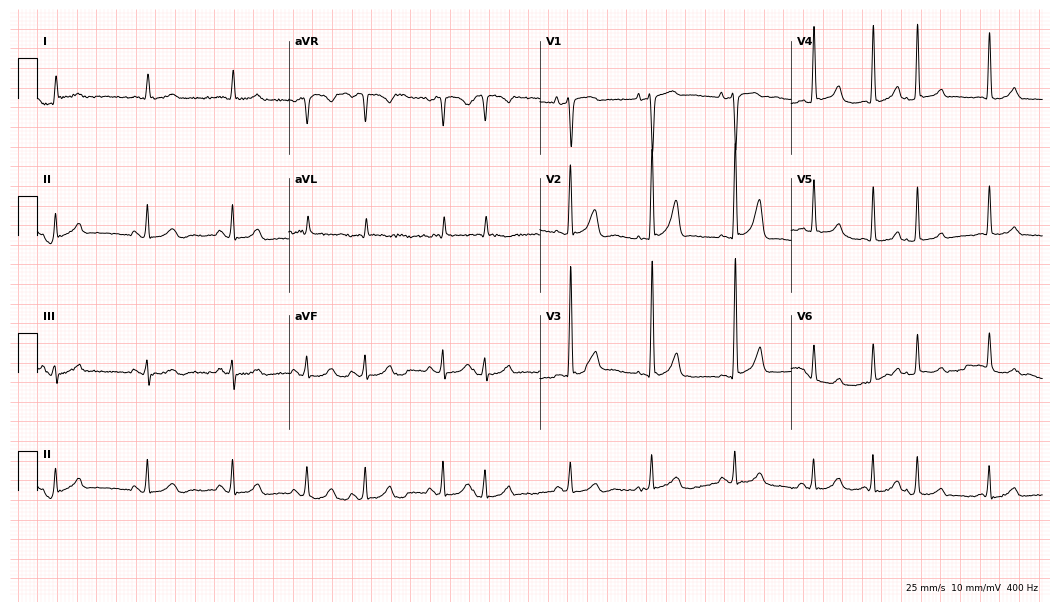
Electrocardiogram (10.2-second recording at 400 Hz), an 83-year-old male. Of the six screened findings (first-degree AV block, right bundle branch block, left bundle branch block, sinus bradycardia, atrial fibrillation, sinus tachycardia), none is recorded.